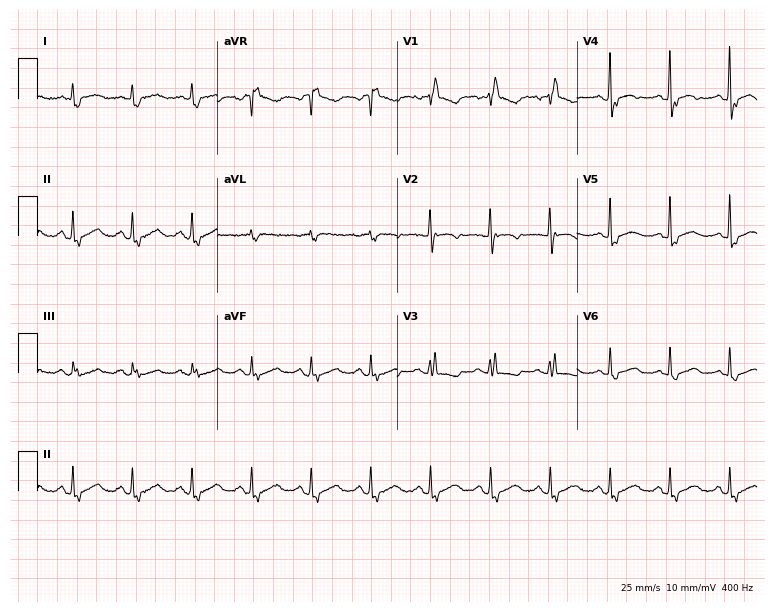
12-lead ECG from a female patient, 71 years old. Shows right bundle branch block.